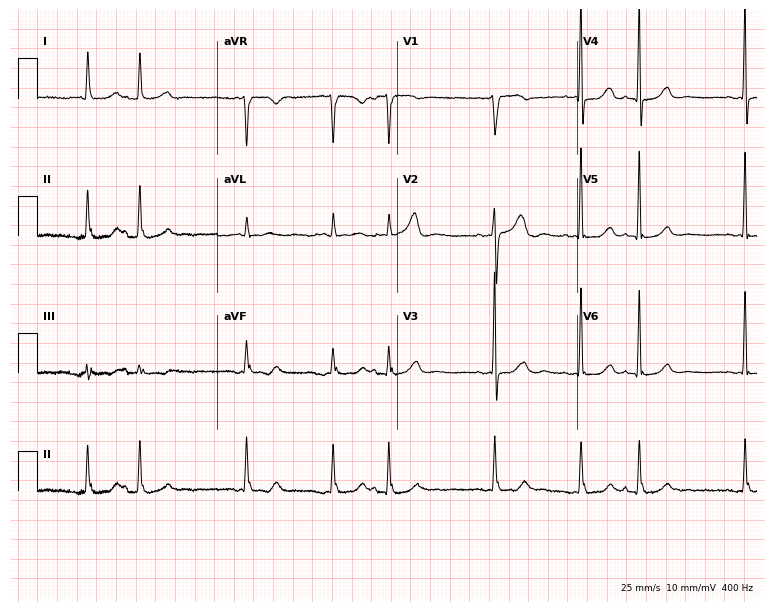
ECG — a 75-year-old female patient. Labelled as a normal ECG.